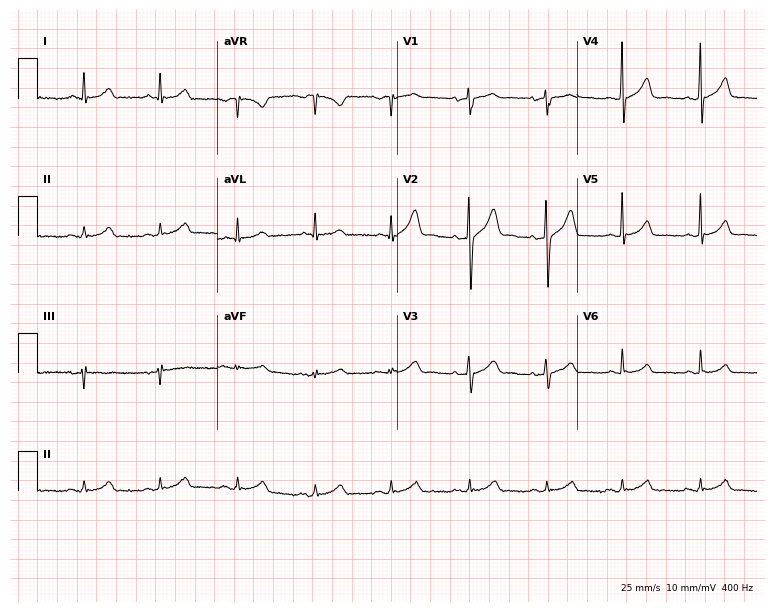
Resting 12-lead electrocardiogram. Patient: a 47-year-old man. Read as a normal ECG.